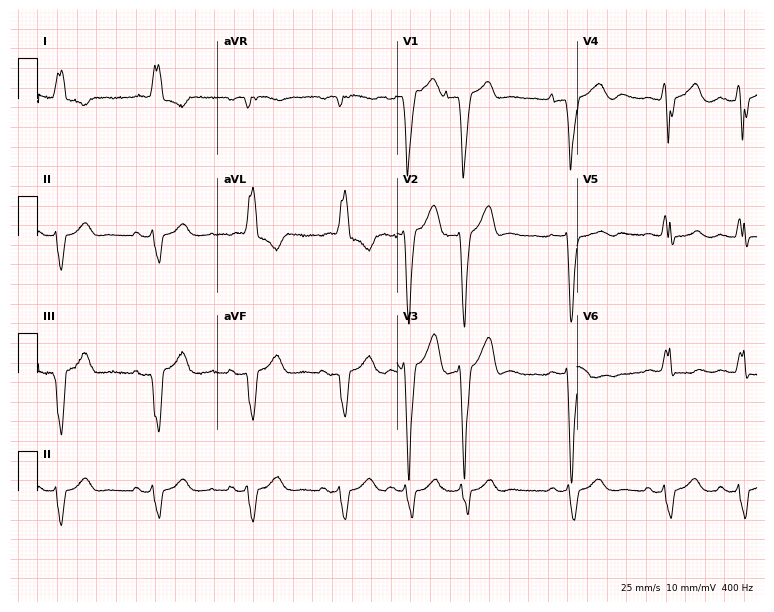
12-lead ECG from an 84-year-old female patient (7.3-second recording at 400 Hz). No first-degree AV block, right bundle branch block (RBBB), left bundle branch block (LBBB), sinus bradycardia, atrial fibrillation (AF) or sinus tachycardia recorded for this tracing.